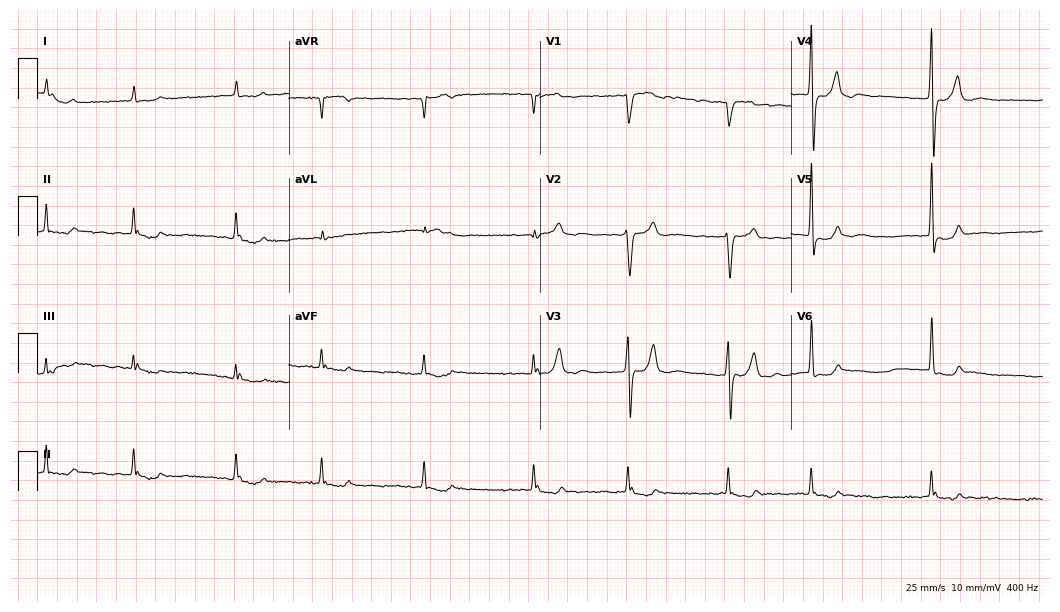
Resting 12-lead electrocardiogram. Patient: a man, 76 years old. The tracing shows atrial fibrillation (AF).